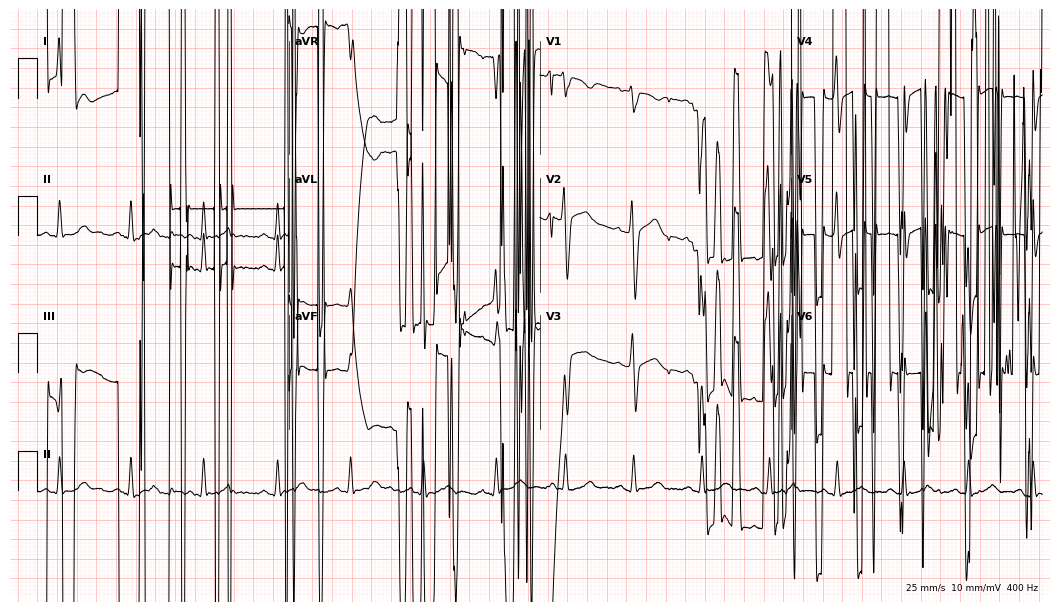
12-lead ECG from a 38-year-old male patient (10.2-second recording at 400 Hz). No first-degree AV block, right bundle branch block, left bundle branch block, sinus bradycardia, atrial fibrillation or sinus tachycardia recorded for this tracing. Other findings, if any, are not listed.